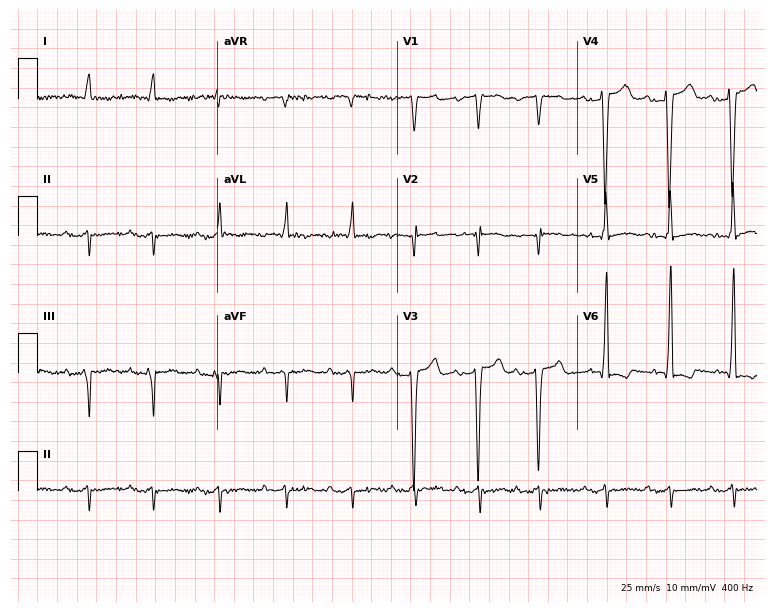
12-lead ECG from a male patient, 78 years old. Findings include first-degree AV block.